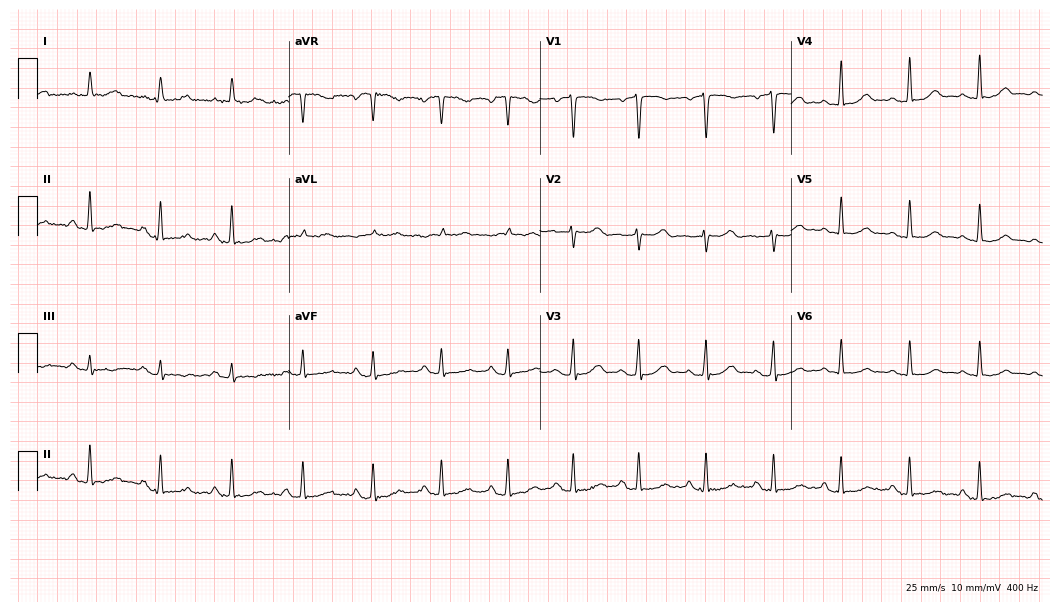
Electrocardiogram, a female patient, 36 years old. Of the six screened findings (first-degree AV block, right bundle branch block, left bundle branch block, sinus bradycardia, atrial fibrillation, sinus tachycardia), none is recorded.